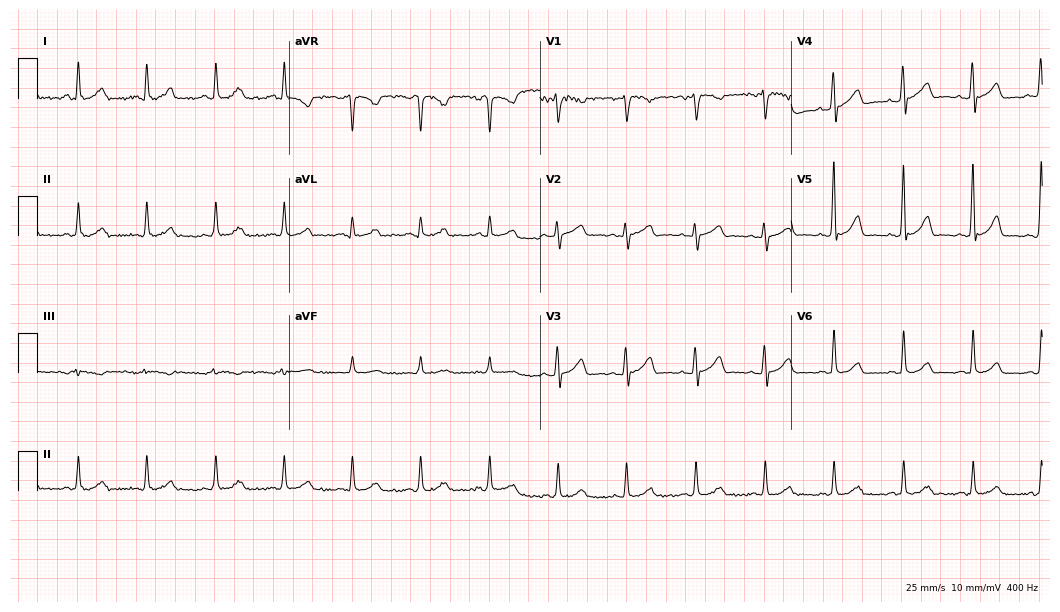
Resting 12-lead electrocardiogram. Patient: a 66-year-old female. None of these six findings is recorded: first-degree AV block, right bundle branch block, left bundle branch block, sinus bradycardia, atrial fibrillation, sinus tachycardia.